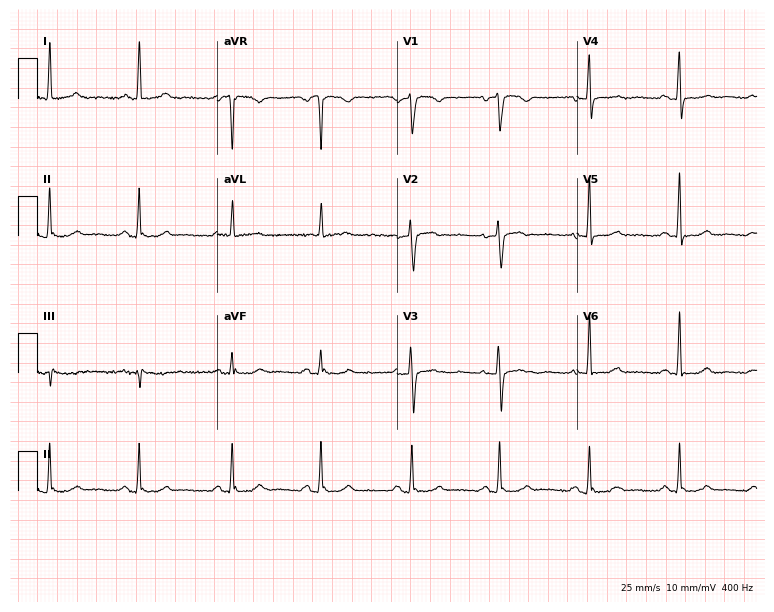
Resting 12-lead electrocardiogram (7.3-second recording at 400 Hz). Patient: a 70-year-old female. Read as a normal ECG.